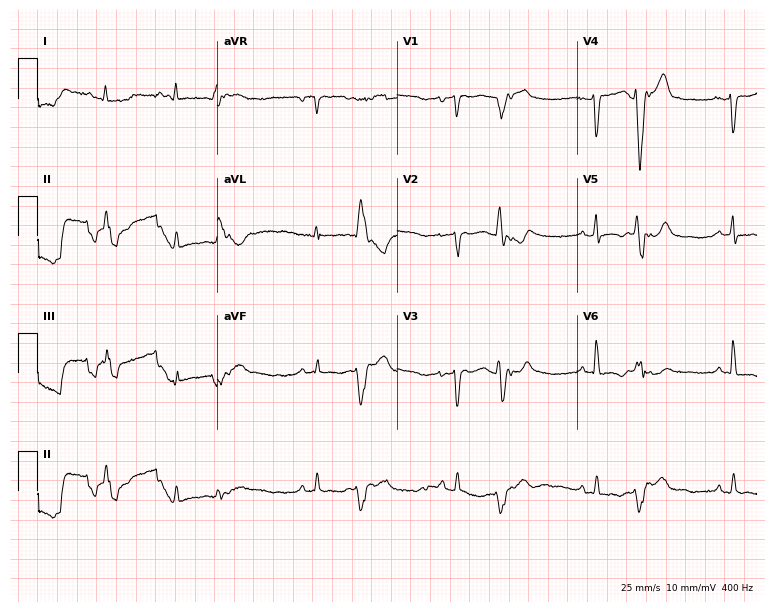
ECG — a woman, 61 years old. Screened for six findings — first-degree AV block, right bundle branch block, left bundle branch block, sinus bradycardia, atrial fibrillation, sinus tachycardia — none is recorded.